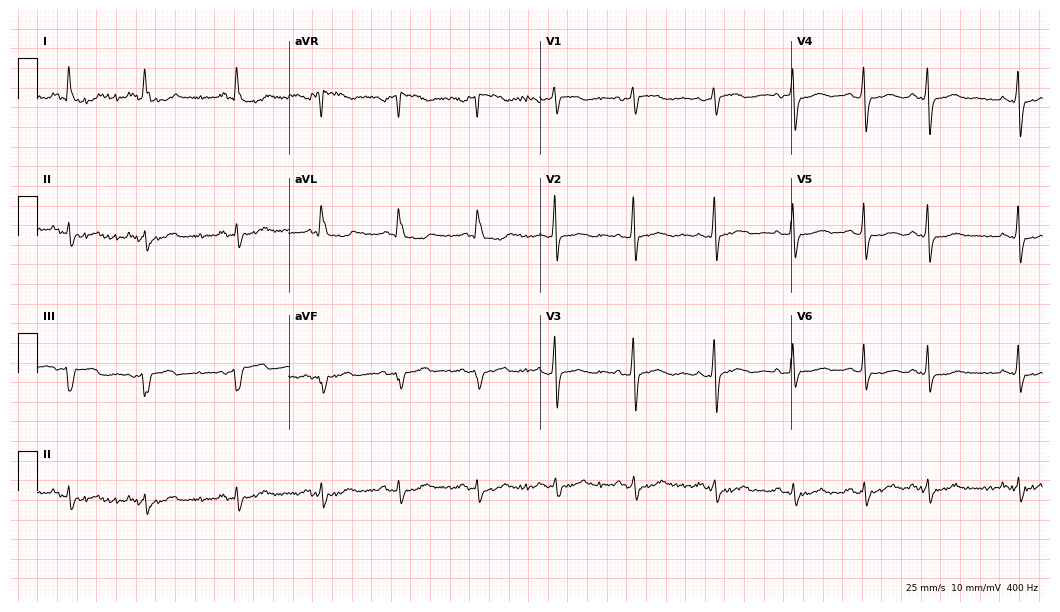
Electrocardiogram (10.2-second recording at 400 Hz), a 71-year-old female. Of the six screened findings (first-degree AV block, right bundle branch block (RBBB), left bundle branch block (LBBB), sinus bradycardia, atrial fibrillation (AF), sinus tachycardia), none is recorded.